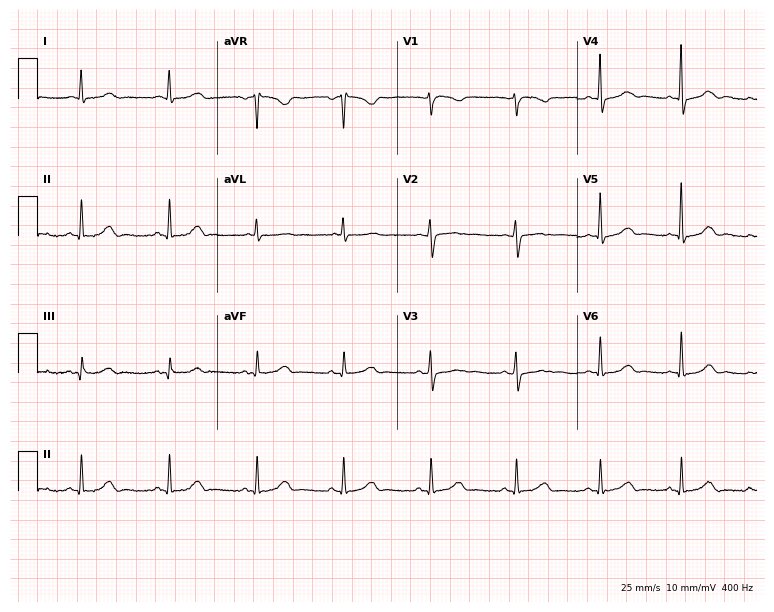
Resting 12-lead electrocardiogram (7.3-second recording at 400 Hz). Patient: a 72-year-old woman. Read as a normal ECG.